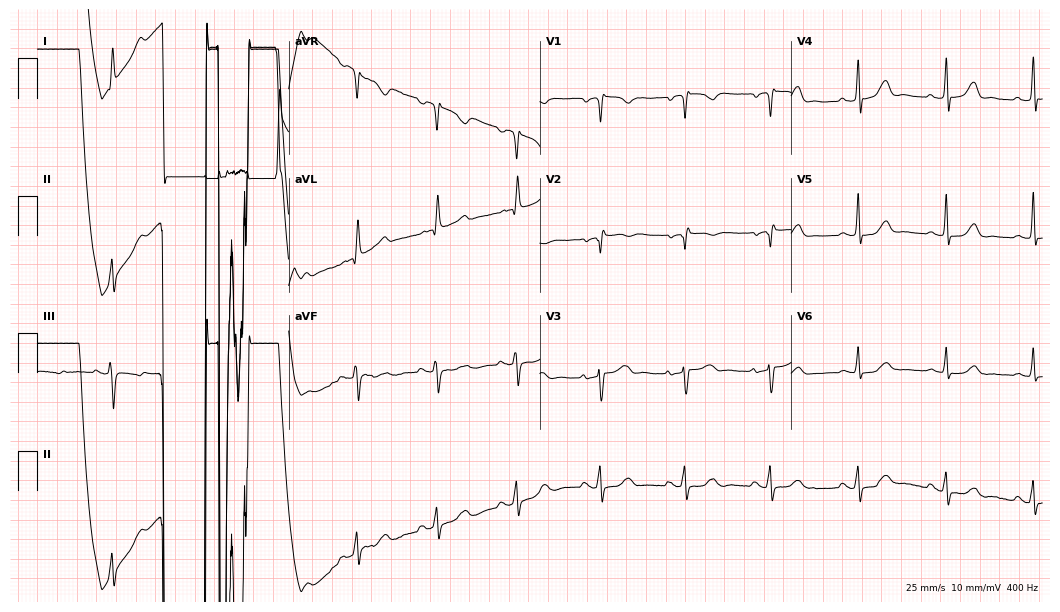
12-lead ECG (10.2-second recording at 400 Hz) from a 59-year-old woman. Screened for six findings — first-degree AV block, right bundle branch block, left bundle branch block, sinus bradycardia, atrial fibrillation, sinus tachycardia — none is recorded.